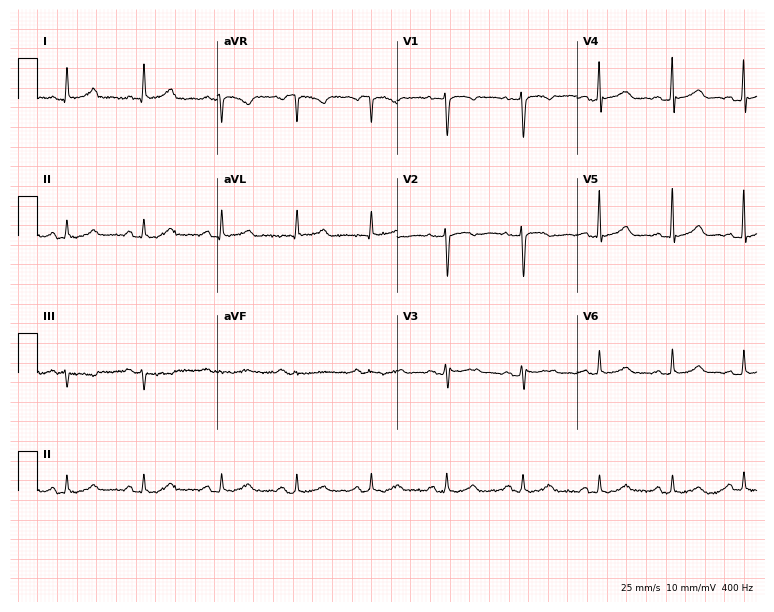
12-lead ECG from a female, 55 years old (7.3-second recording at 400 Hz). Recorded interpretation: within normal limits.